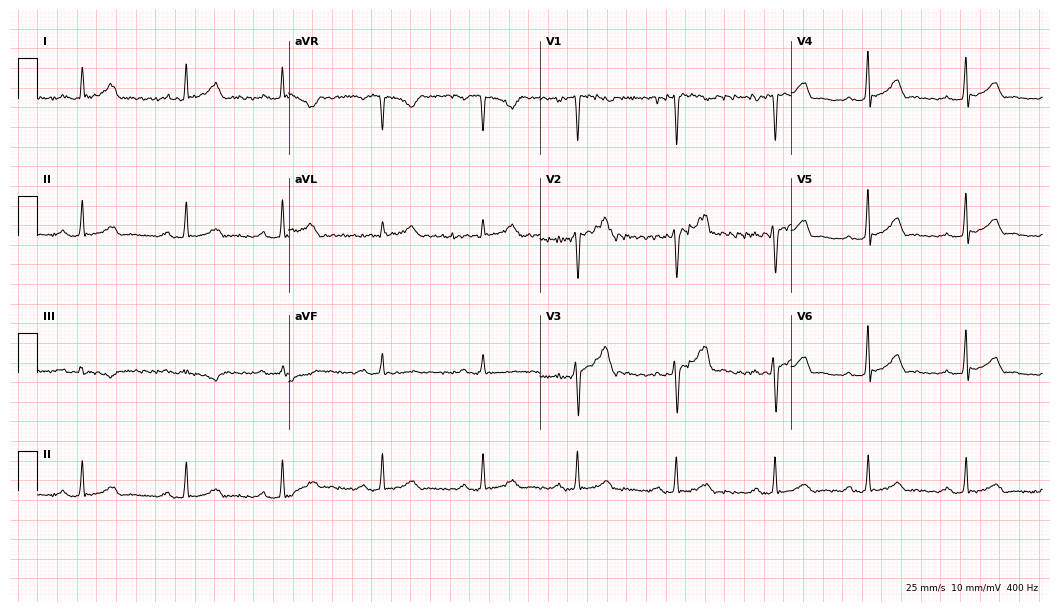
ECG (10.2-second recording at 400 Hz) — a 23-year-old male. Findings include first-degree AV block.